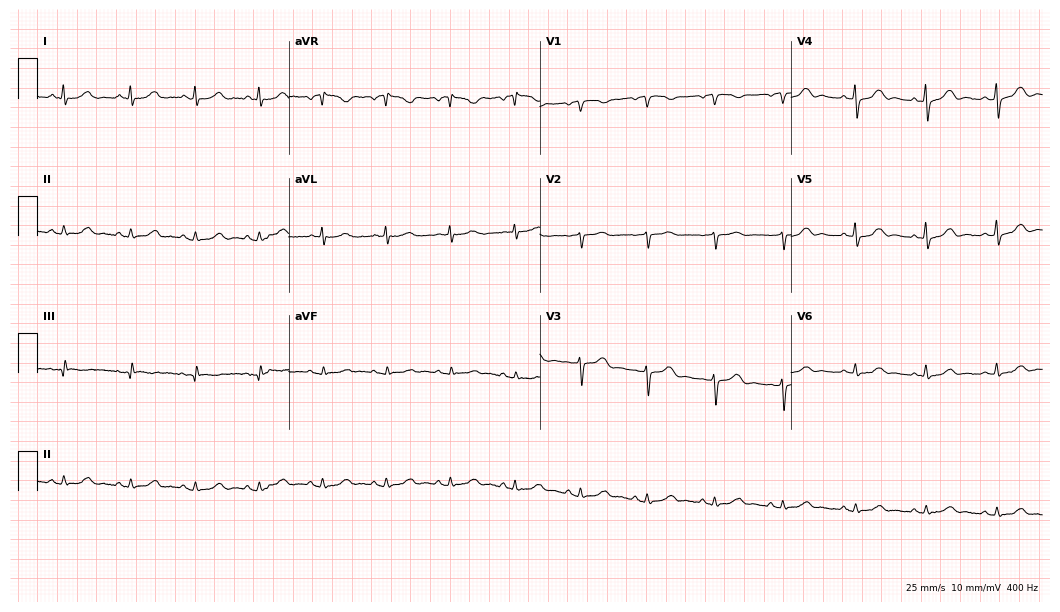
12-lead ECG from a woman, 77 years old (10.2-second recording at 400 Hz). Recorded interpretation: within normal limits.